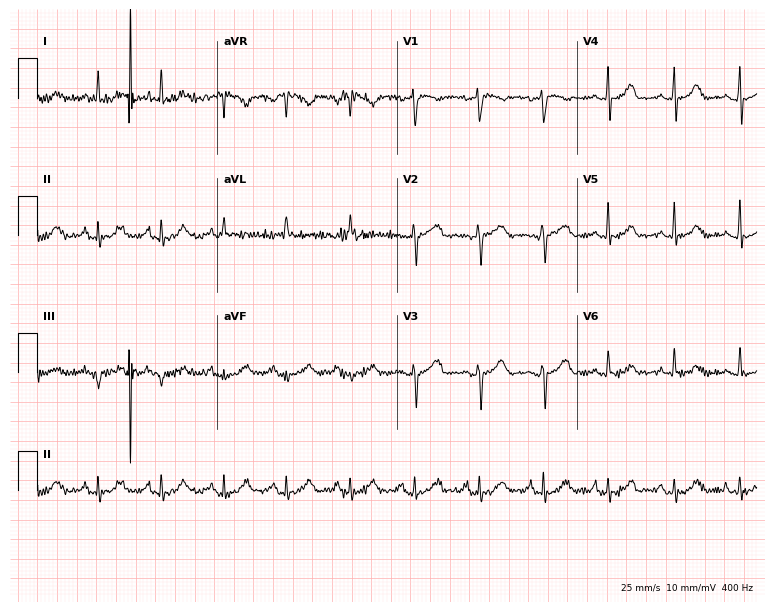
ECG (7.3-second recording at 400 Hz) — a 70-year-old female patient. Labelled as a normal ECG.